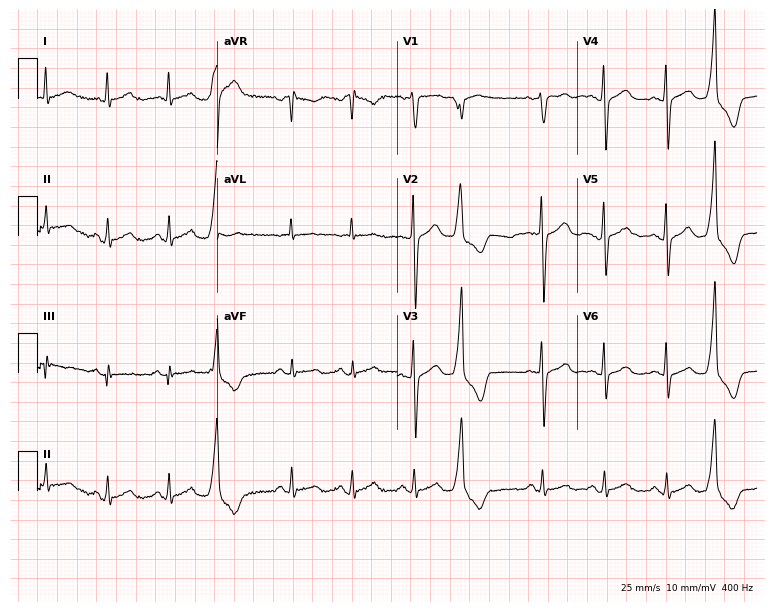
12-lead ECG from a 58-year-old male (7.3-second recording at 400 Hz). No first-degree AV block, right bundle branch block (RBBB), left bundle branch block (LBBB), sinus bradycardia, atrial fibrillation (AF) or sinus tachycardia recorded for this tracing.